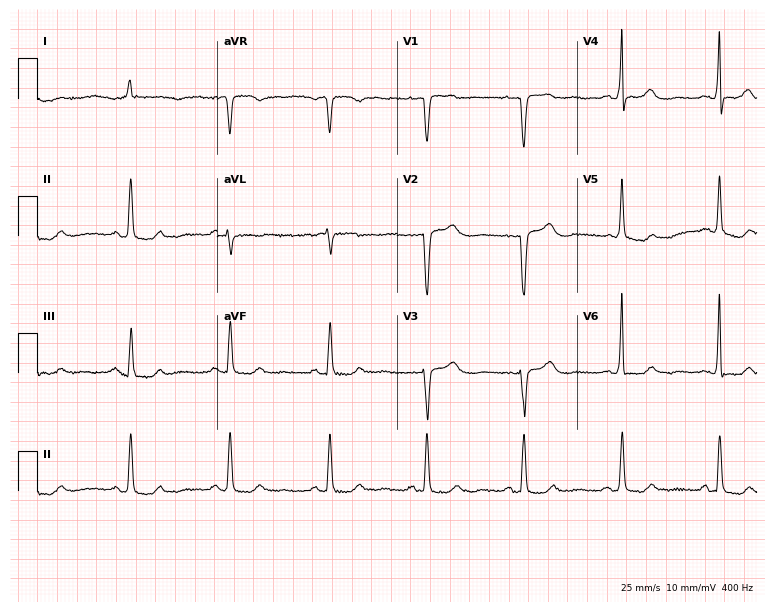
Standard 12-lead ECG recorded from a 73-year-old female patient. Read as a normal ECG.